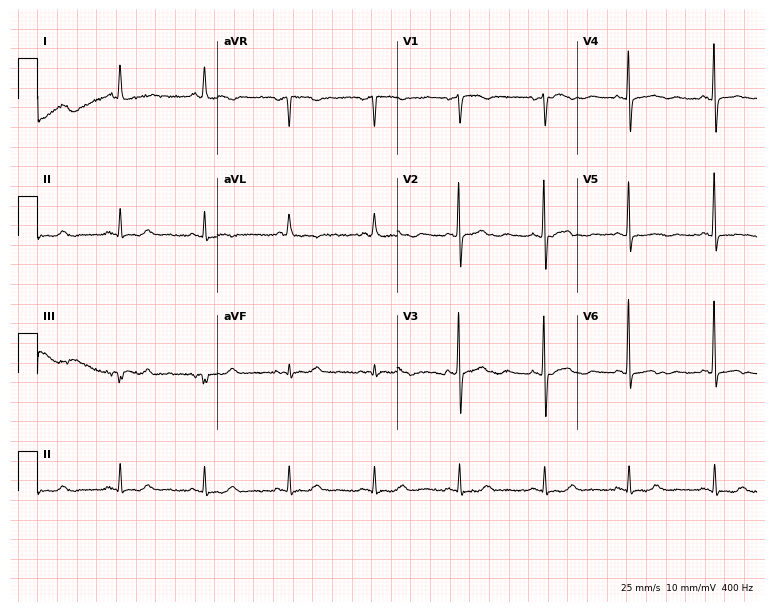
12-lead ECG from a 67-year-old woman. No first-degree AV block, right bundle branch block, left bundle branch block, sinus bradycardia, atrial fibrillation or sinus tachycardia recorded for this tracing.